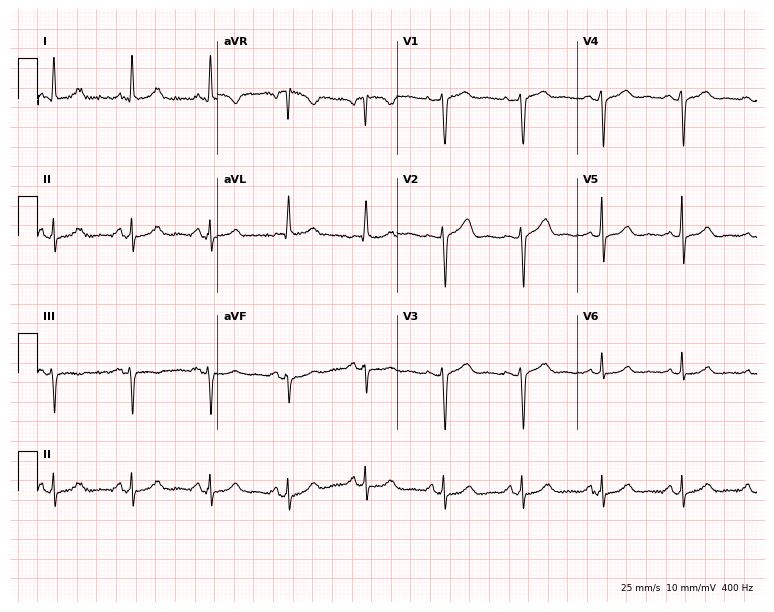
12-lead ECG from a female, 51 years old. No first-degree AV block, right bundle branch block, left bundle branch block, sinus bradycardia, atrial fibrillation or sinus tachycardia recorded for this tracing.